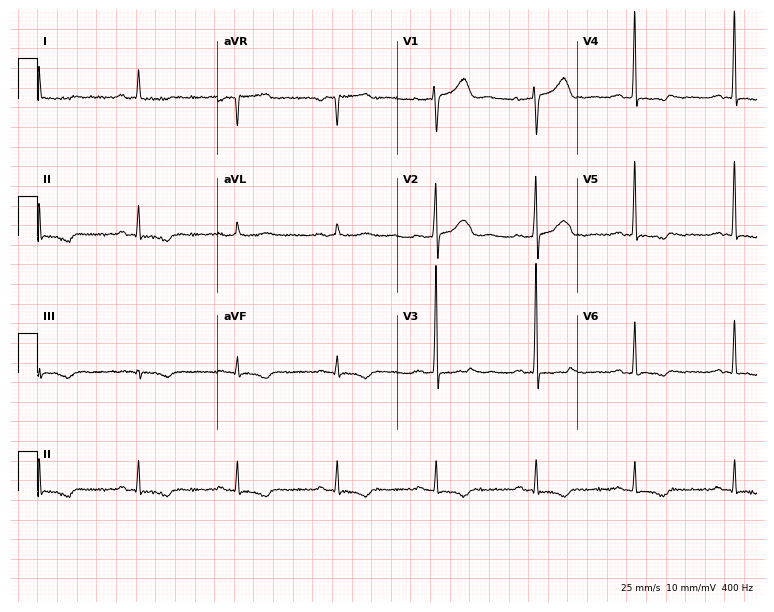
12-lead ECG (7.3-second recording at 400 Hz) from a male patient, 64 years old. Labelled as a normal ECG.